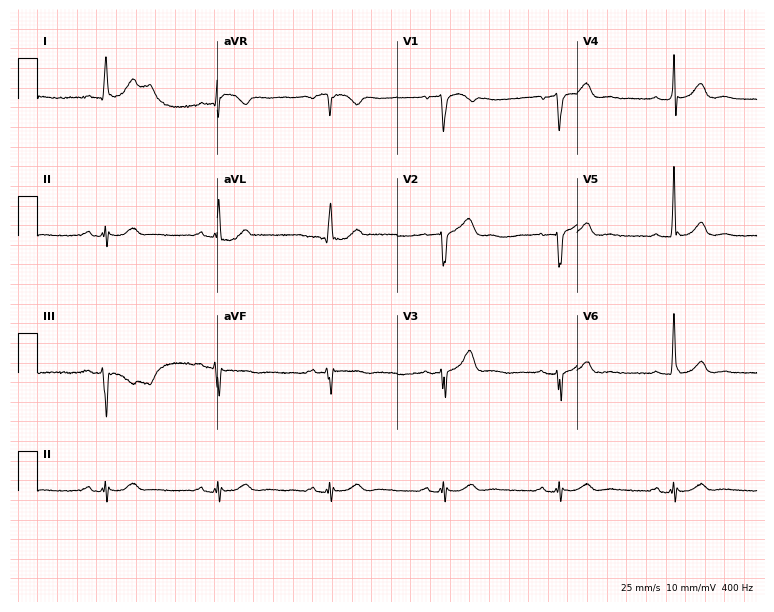
Electrocardiogram, a 72-year-old male. Of the six screened findings (first-degree AV block, right bundle branch block, left bundle branch block, sinus bradycardia, atrial fibrillation, sinus tachycardia), none is recorded. Other findings, if any, are not listed.